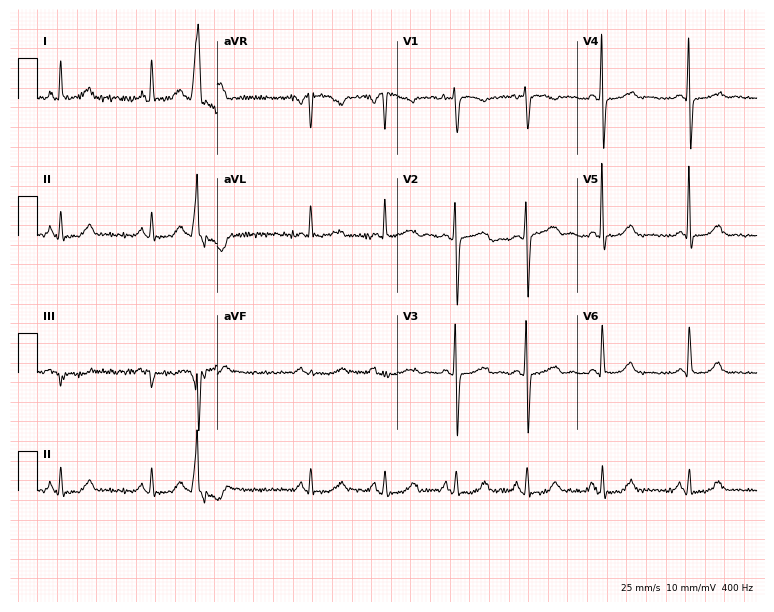
12-lead ECG from a female, 60 years old. Screened for six findings — first-degree AV block, right bundle branch block (RBBB), left bundle branch block (LBBB), sinus bradycardia, atrial fibrillation (AF), sinus tachycardia — none is recorded.